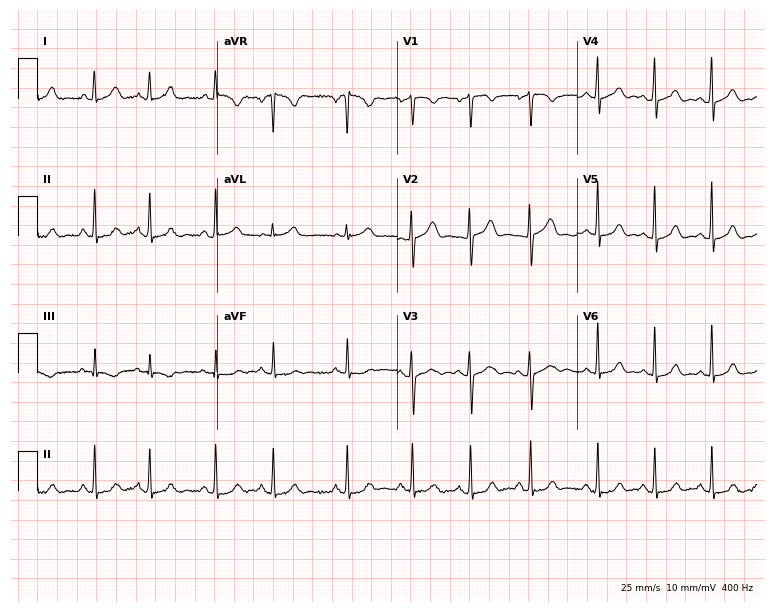
ECG — a 21-year-old woman. Labelled as a normal ECG.